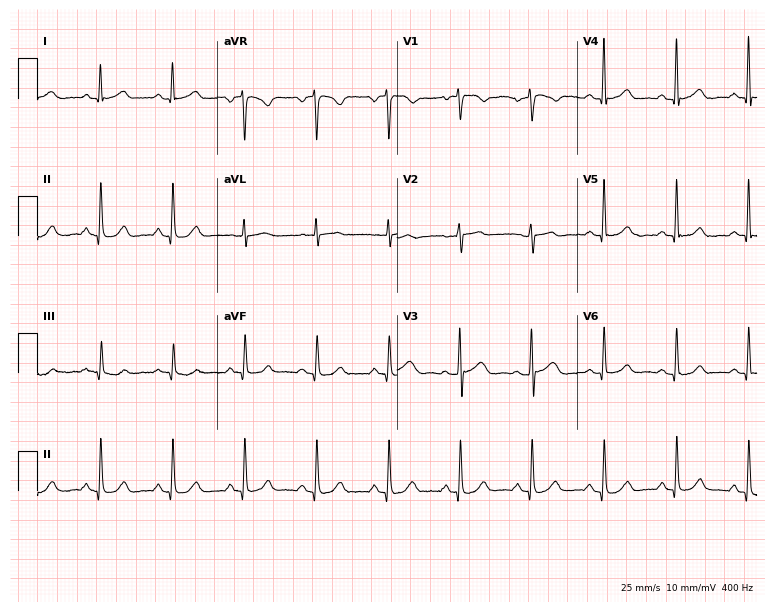
Resting 12-lead electrocardiogram. Patient: a 56-year-old female. Read as a normal ECG.